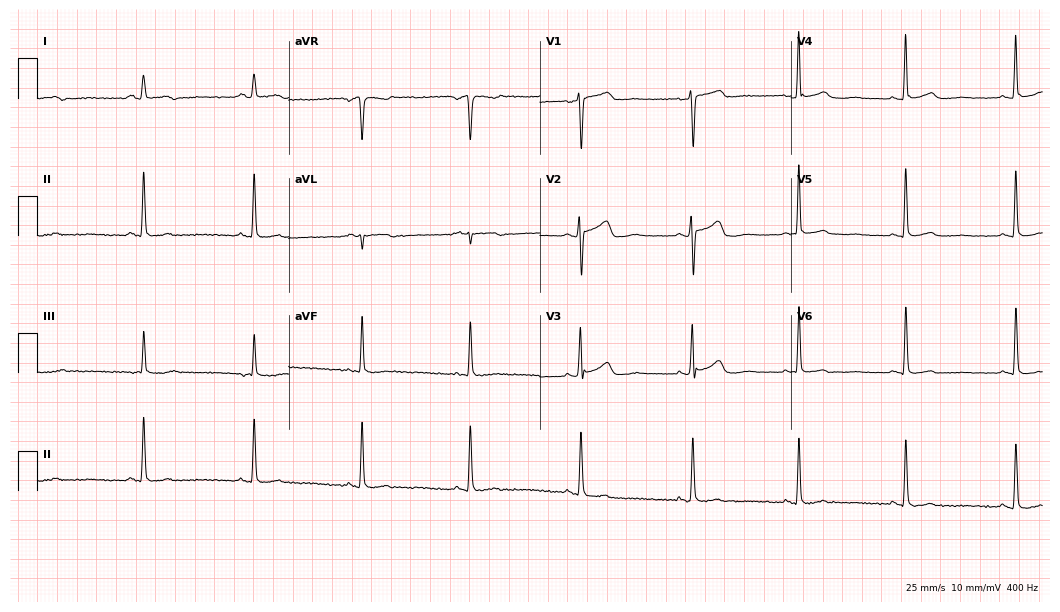
ECG — a 59-year-old woman. Screened for six findings — first-degree AV block, right bundle branch block, left bundle branch block, sinus bradycardia, atrial fibrillation, sinus tachycardia — none is recorded. Only these six findings were labelled.